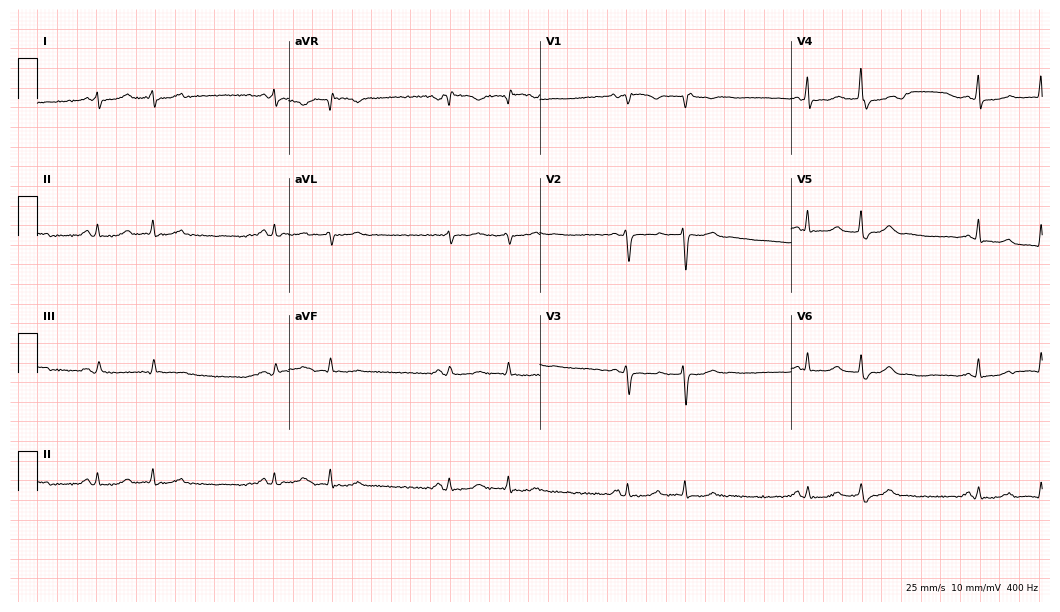
Standard 12-lead ECG recorded from a female, 38 years old (10.2-second recording at 400 Hz). None of these six findings is recorded: first-degree AV block, right bundle branch block (RBBB), left bundle branch block (LBBB), sinus bradycardia, atrial fibrillation (AF), sinus tachycardia. Findings outside these six are not listed.